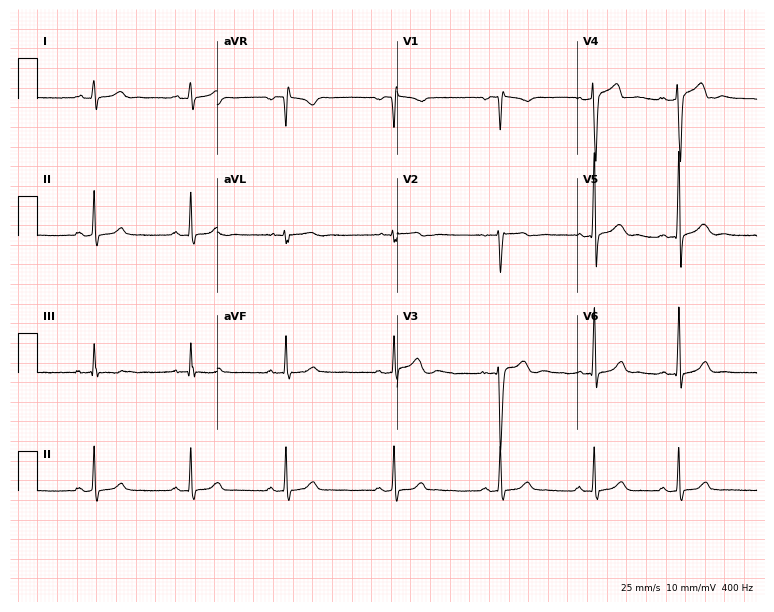
Resting 12-lead electrocardiogram. Patient: an 18-year-old male. Read as a normal ECG.